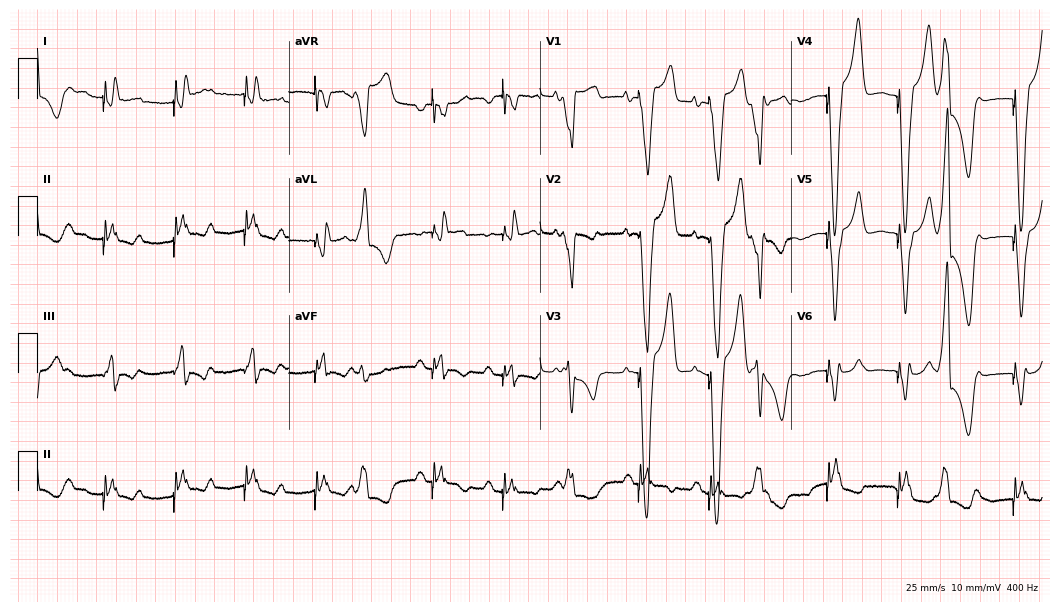
Standard 12-lead ECG recorded from a woman, 81 years old. None of these six findings is recorded: first-degree AV block, right bundle branch block (RBBB), left bundle branch block (LBBB), sinus bradycardia, atrial fibrillation (AF), sinus tachycardia. Only these six findings were labelled.